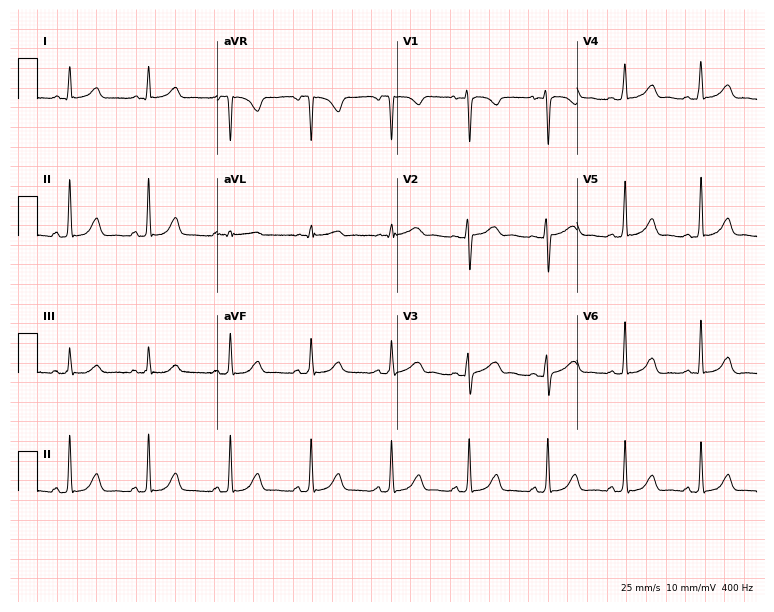
12-lead ECG from a female, 41 years old. Recorded interpretation: within normal limits.